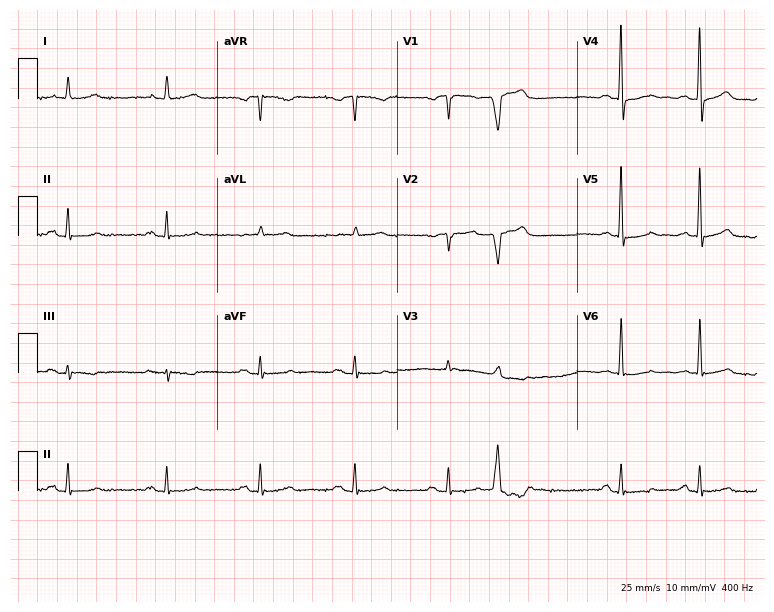
12-lead ECG (7.3-second recording at 400 Hz) from a man, 74 years old. Screened for six findings — first-degree AV block, right bundle branch block, left bundle branch block, sinus bradycardia, atrial fibrillation, sinus tachycardia — none is recorded. Only these six findings were labelled.